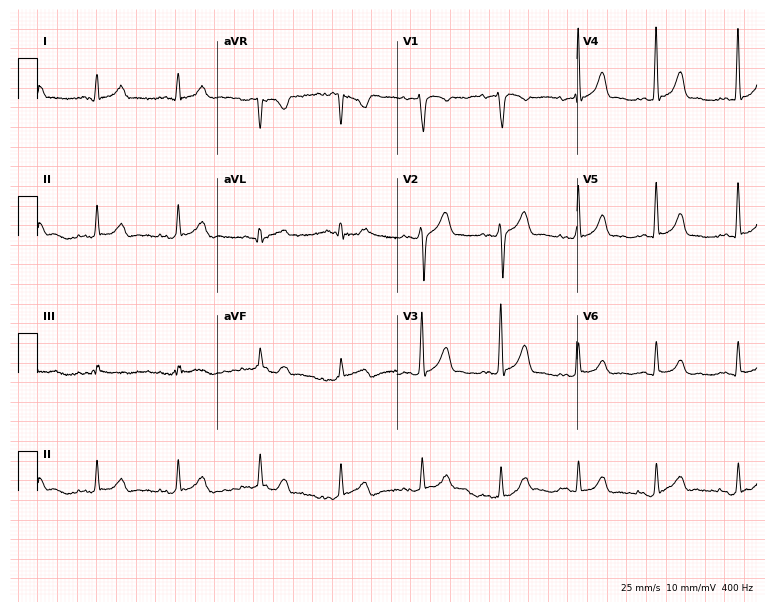
12-lead ECG from a 33-year-old man (7.3-second recording at 400 Hz). No first-degree AV block, right bundle branch block (RBBB), left bundle branch block (LBBB), sinus bradycardia, atrial fibrillation (AF) or sinus tachycardia recorded for this tracing.